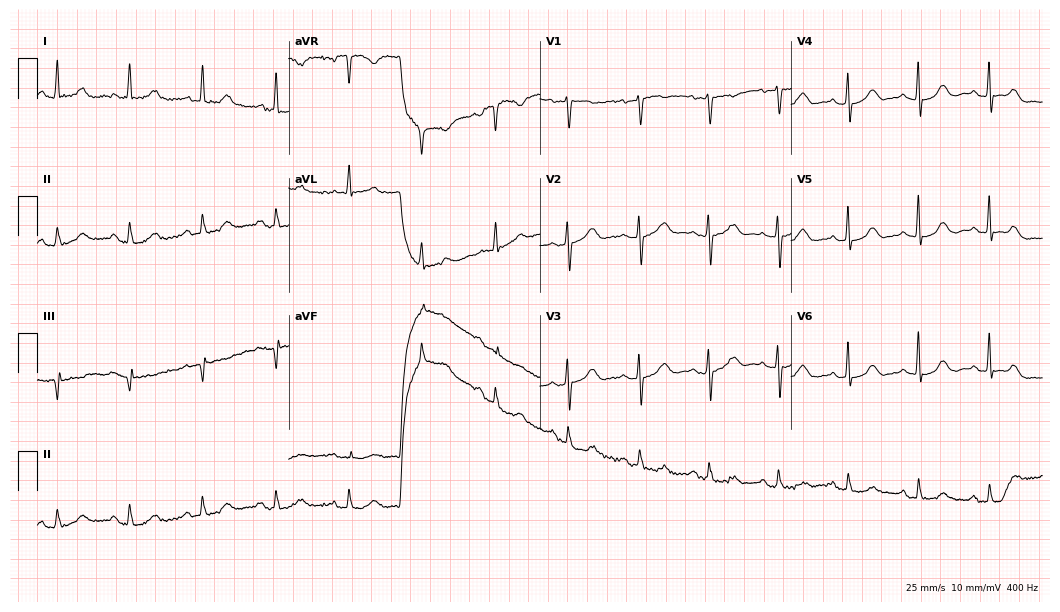
12-lead ECG from a 76-year-old female patient (10.2-second recording at 400 Hz). Recorded interpretation: within normal limits.